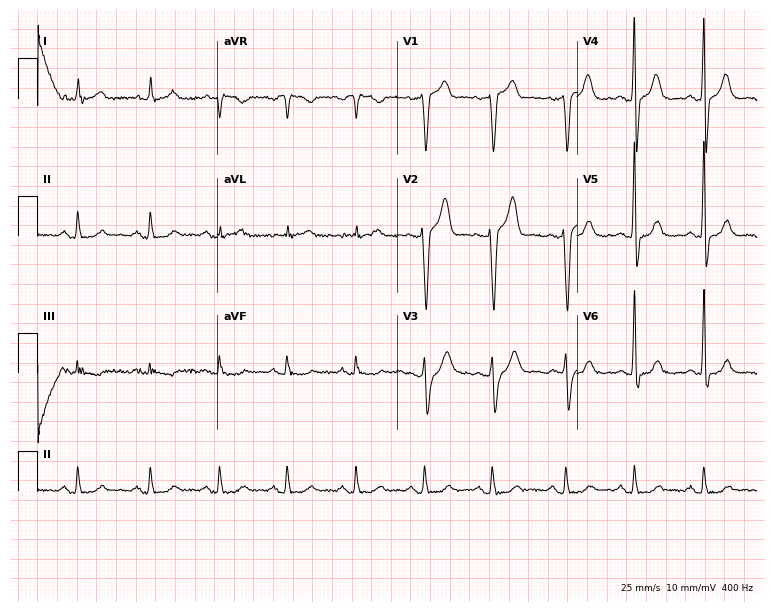
Resting 12-lead electrocardiogram (7.3-second recording at 400 Hz). Patient: a 66-year-old man. Read as a normal ECG.